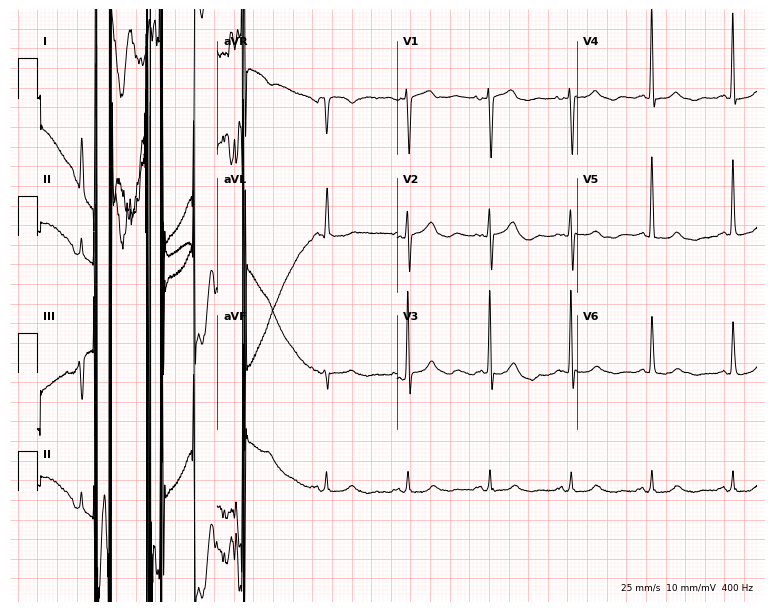
Electrocardiogram, a female patient, 76 years old. Of the six screened findings (first-degree AV block, right bundle branch block, left bundle branch block, sinus bradycardia, atrial fibrillation, sinus tachycardia), none is recorded.